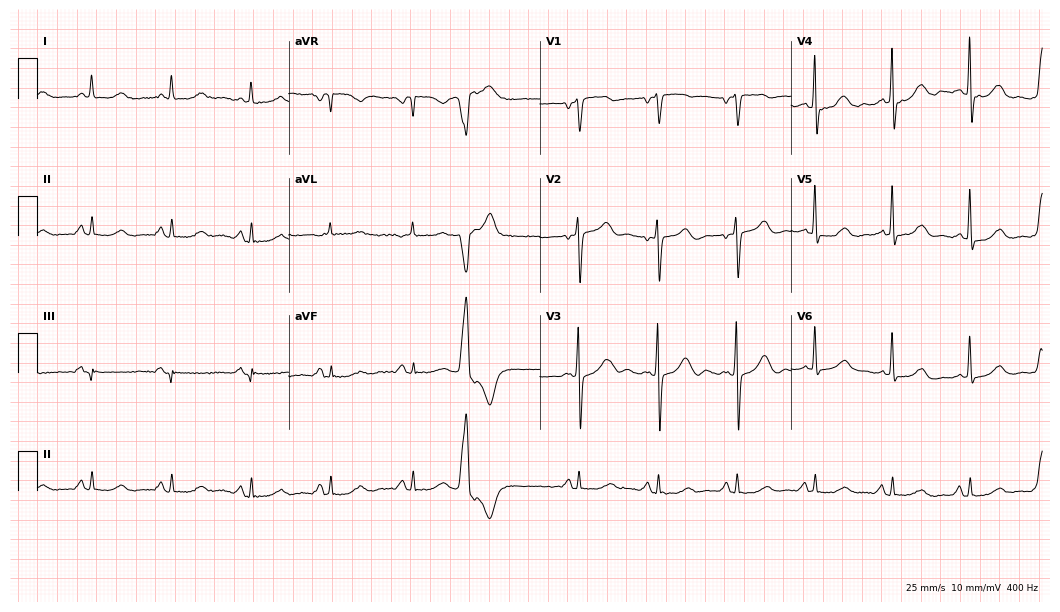
Resting 12-lead electrocardiogram (10.2-second recording at 400 Hz). Patient: an 80-year-old male. None of these six findings is recorded: first-degree AV block, right bundle branch block, left bundle branch block, sinus bradycardia, atrial fibrillation, sinus tachycardia. Other findings, if any, are not listed.